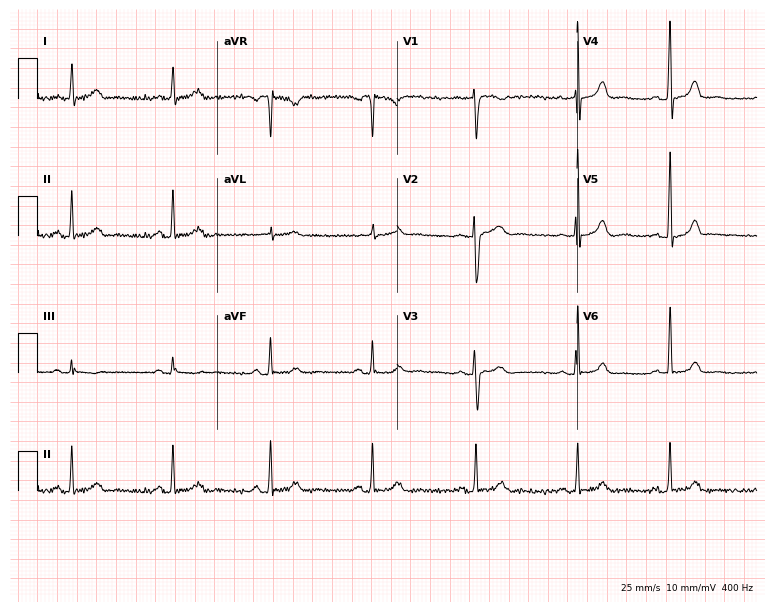
Electrocardiogram, a man, 54 years old. Of the six screened findings (first-degree AV block, right bundle branch block (RBBB), left bundle branch block (LBBB), sinus bradycardia, atrial fibrillation (AF), sinus tachycardia), none is recorded. Other findings, if any, are not listed.